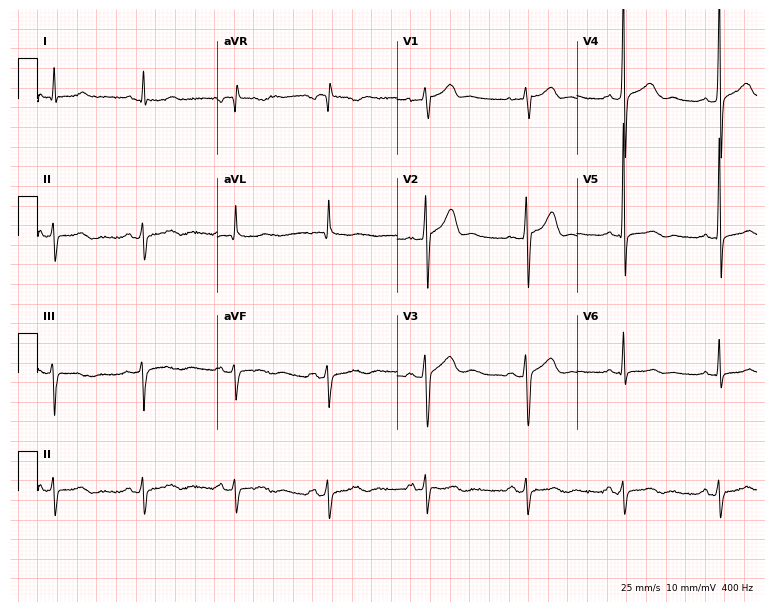
Resting 12-lead electrocardiogram (7.3-second recording at 400 Hz). Patient: a man, 57 years old. None of these six findings is recorded: first-degree AV block, right bundle branch block, left bundle branch block, sinus bradycardia, atrial fibrillation, sinus tachycardia. Other findings, if any, are not listed.